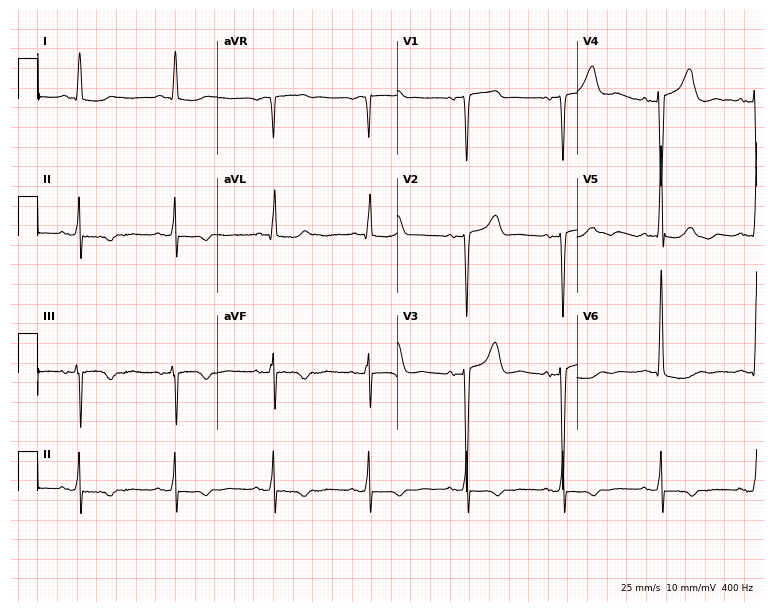
ECG (7.3-second recording at 400 Hz) — a 77-year-old female patient. Screened for six findings — first-degree AV block, right bundle branch block (RBBB), left bundle branch block (LBBB), sinus bradycardia, atrial fibrillation (AF), sinus tachycardia — none is recorded. Findings outside these six are not listed.